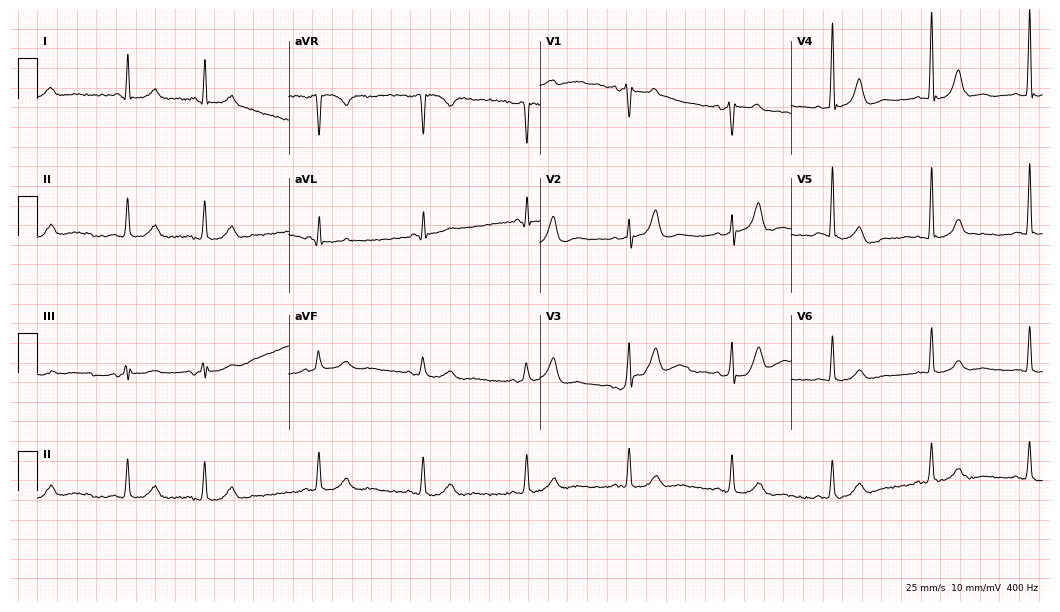
12-lead ECG from a 66-year-old man. Labelled as a normal ECG.